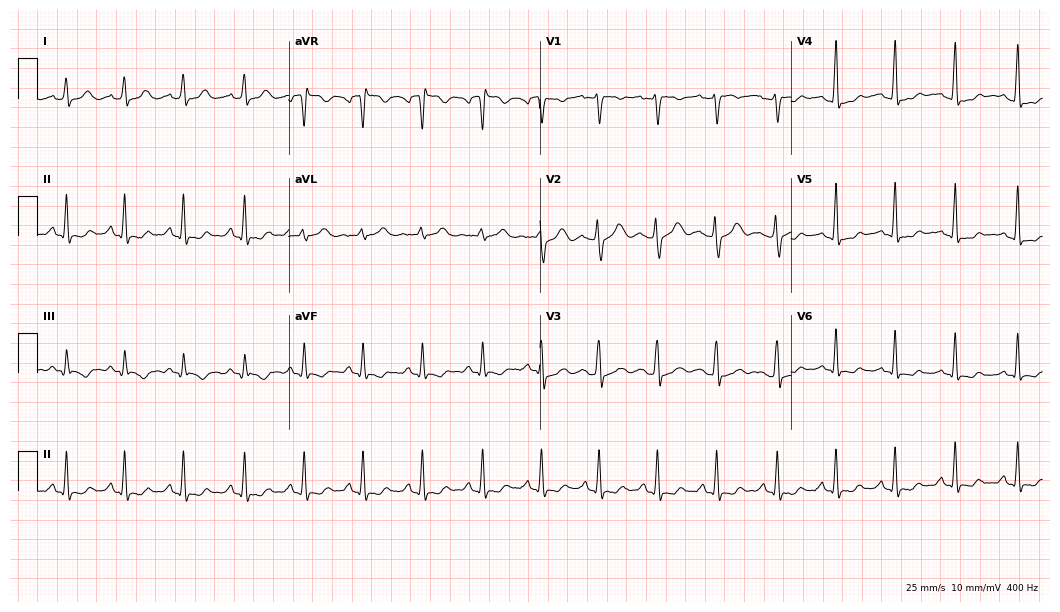
12-lead ECG from a female patient, 30 years old. No first-degree AV block, right bundle branch block, left bundle branch block, sinus bradycardia, atrial fibrillation or sinus tachycardia recorded for this tracing.